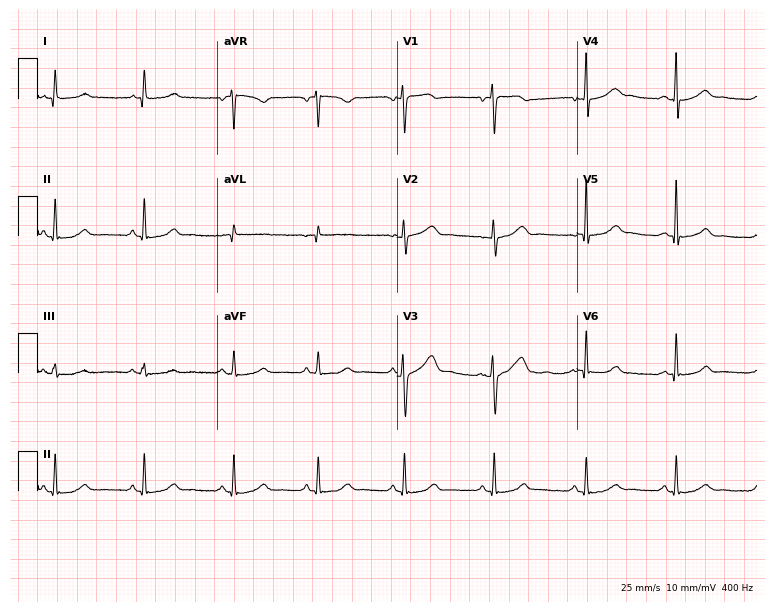
12-lead ECG from a 34-year-old woman. Recorded interpretation: within normal limits.